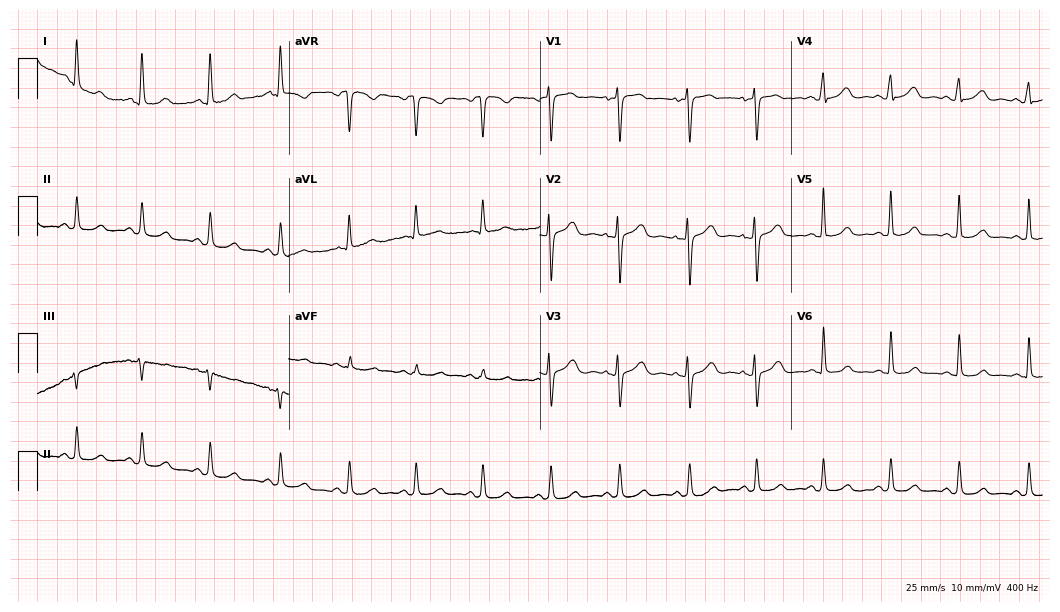
12-lead ECG (10.2-second recording at 400 Hz) from a 39-year-old woman. Labelled as a normal ECG.